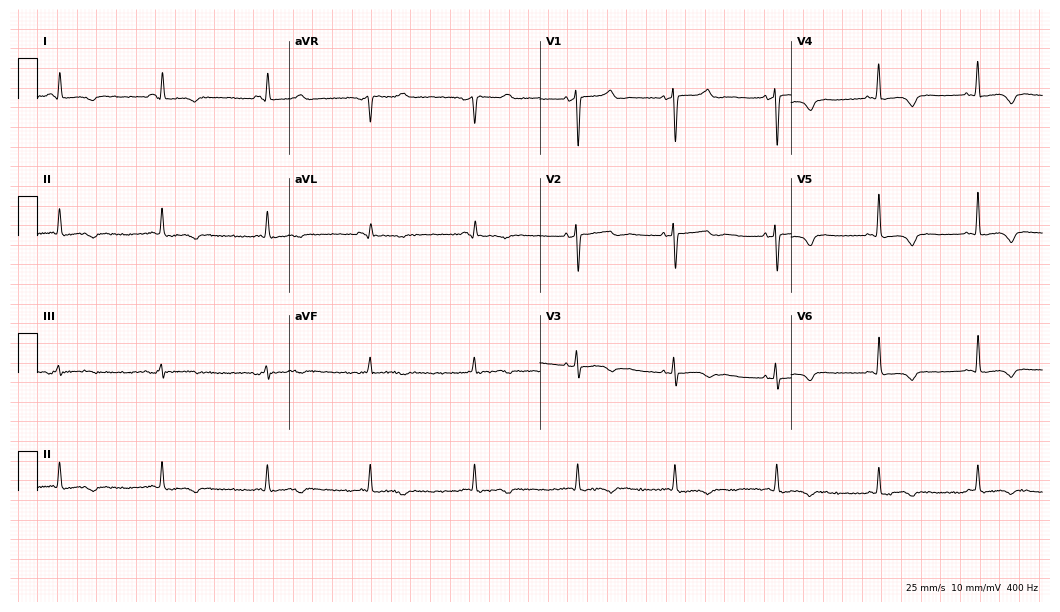
12-lead ECG from a female patient, 43 years old. Screened for six findings — first-degree AV block, right bundle branch block, left bundle branch block, sinus bradycardia, atrial fibrillation, sinus tachycardia — none is recorded.